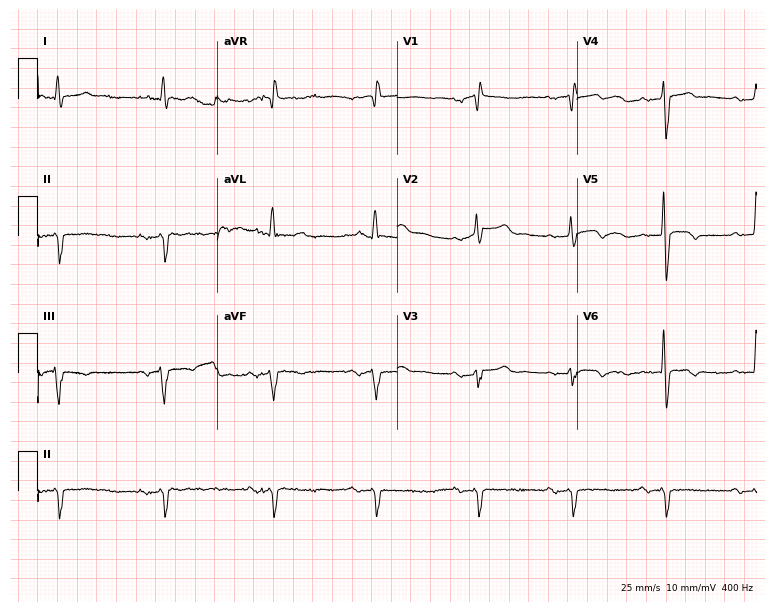
12-lead ECG (7.3-second recording at 400 Hz) from a female, 85 years old. Findings include first-degree AV block.